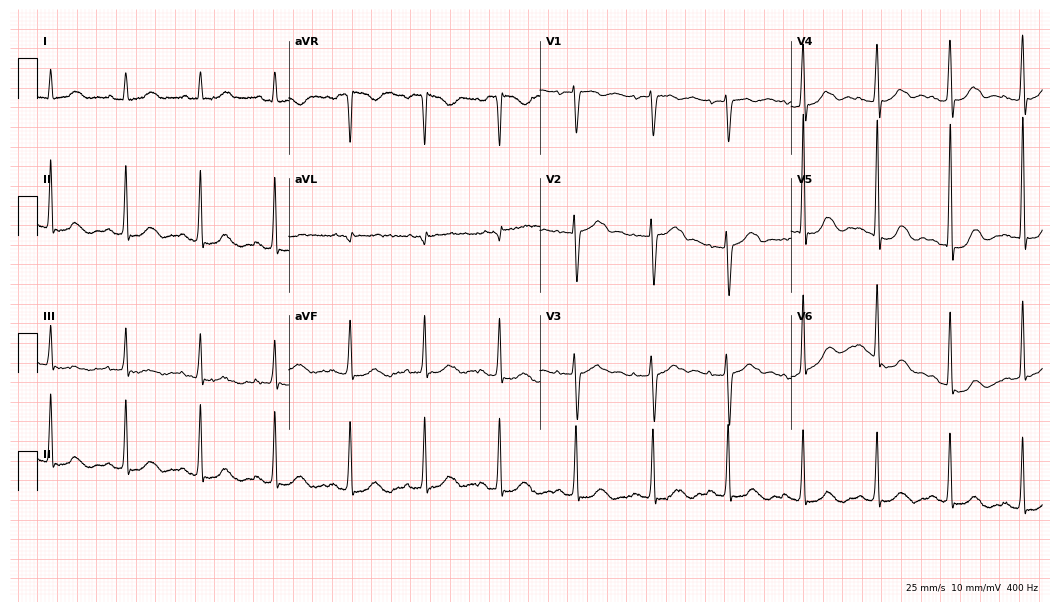
Electrocardiogram, a female, 59 years old. Of the six screened findings (first-degree AV block, right bundle branch block, left bundle branch block, sinus bradycardia, atrial fibrillation, sinus tachycardia), none is recorded.